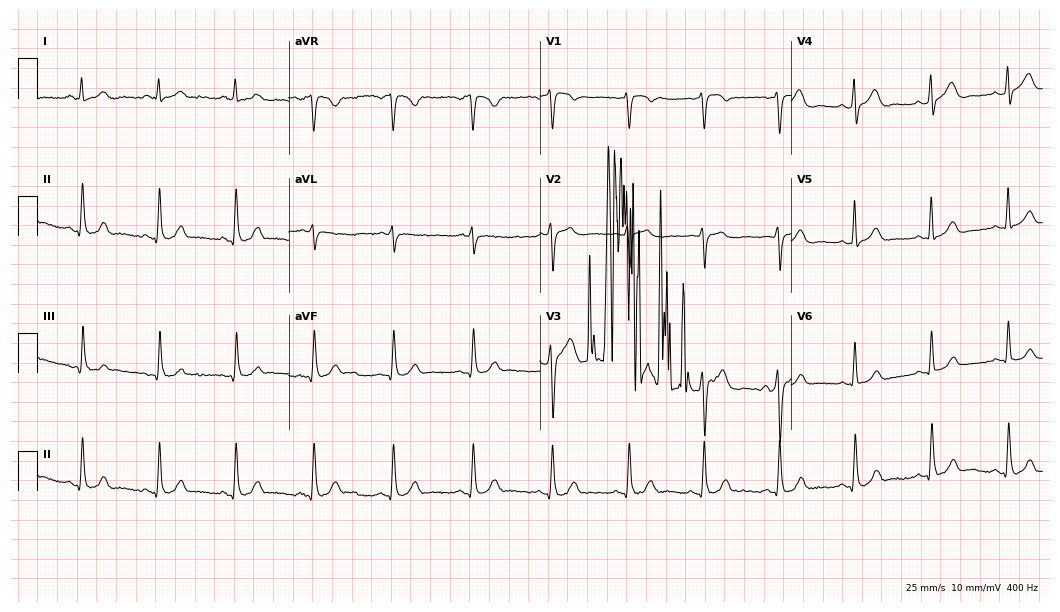
Electrocardiogram, a 36-year-old male patient. Overall reading on record: normal ECG.